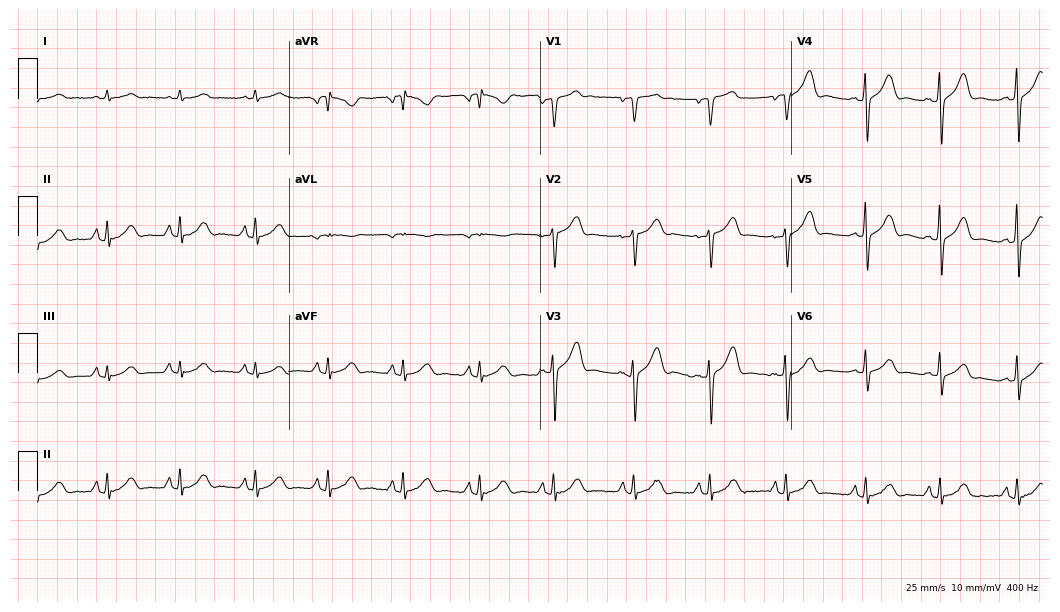
Electrocardiogram (10.2-second recording at 400 Hz), a 70-year-old male. Overall reading on record: normal ECG.